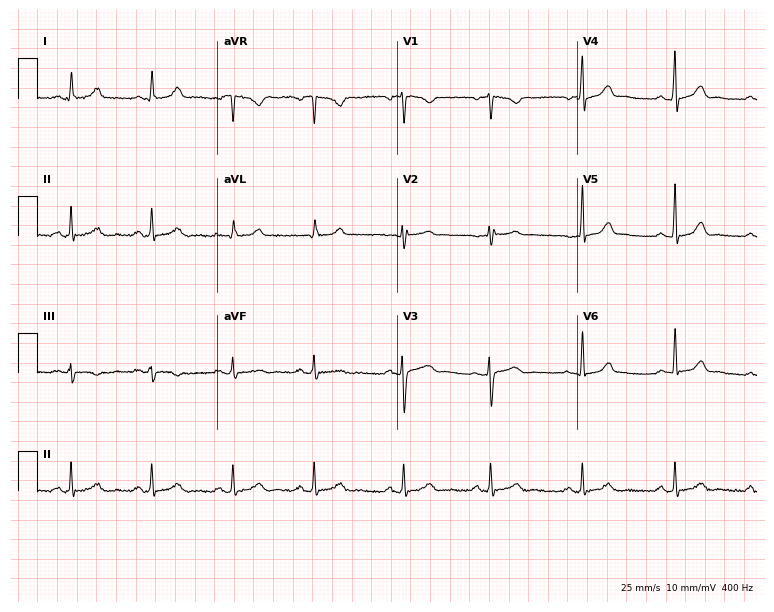
ECG (7.3-second recording at 400 Hz) — a 22-year-old female patient. Labelled as a normal ECG.